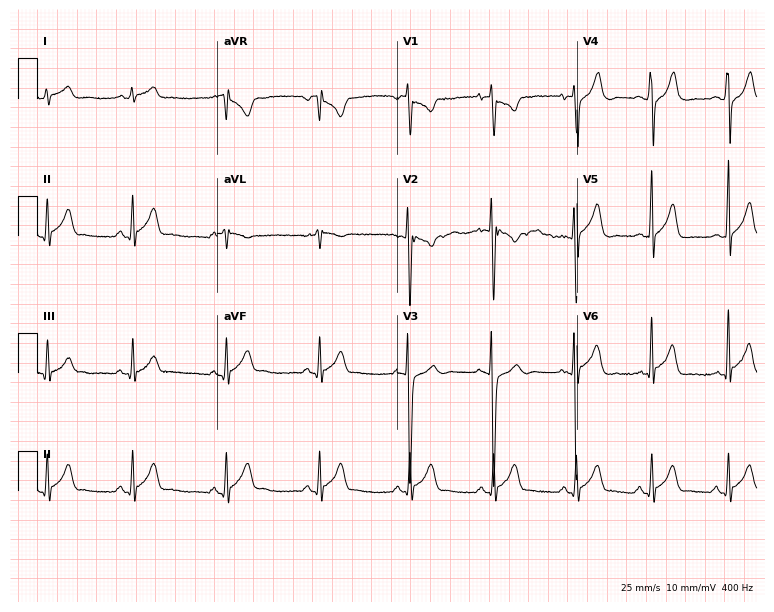
12-lead ECG from a male patient, 20 years old. Recorded interpretation: within normal limits.